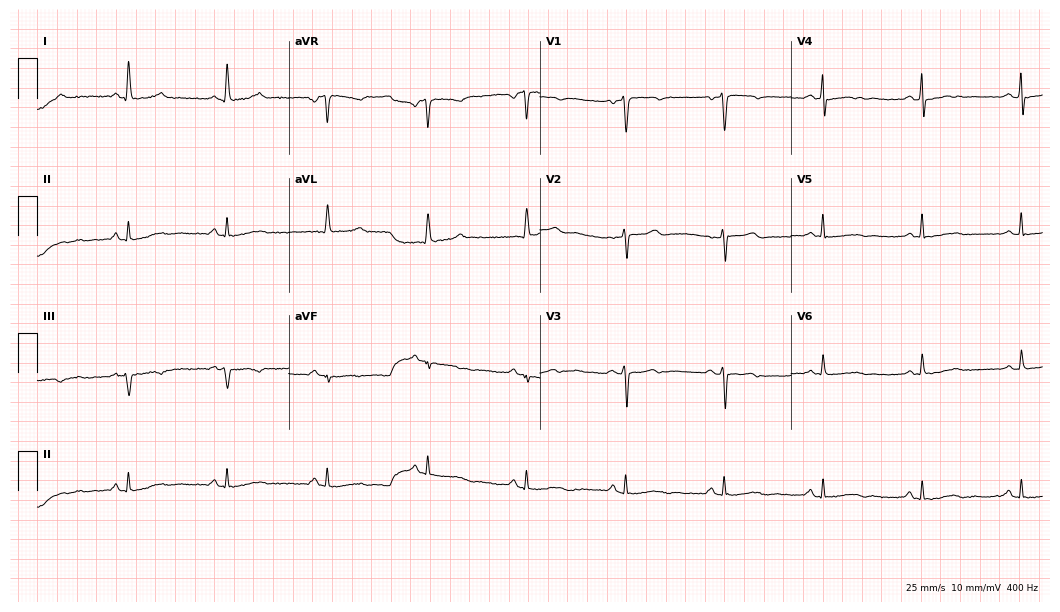
ECG (10.2-second recording at 400 Hz) — a female patient, 62 years old. Screened for six findings — first-degree AV block, right bundle branch block, left bundle branch block, sinus bradycardia, atrial fibrillation, sinus tachycardia — none is recorded. Only these six findings were labelled.